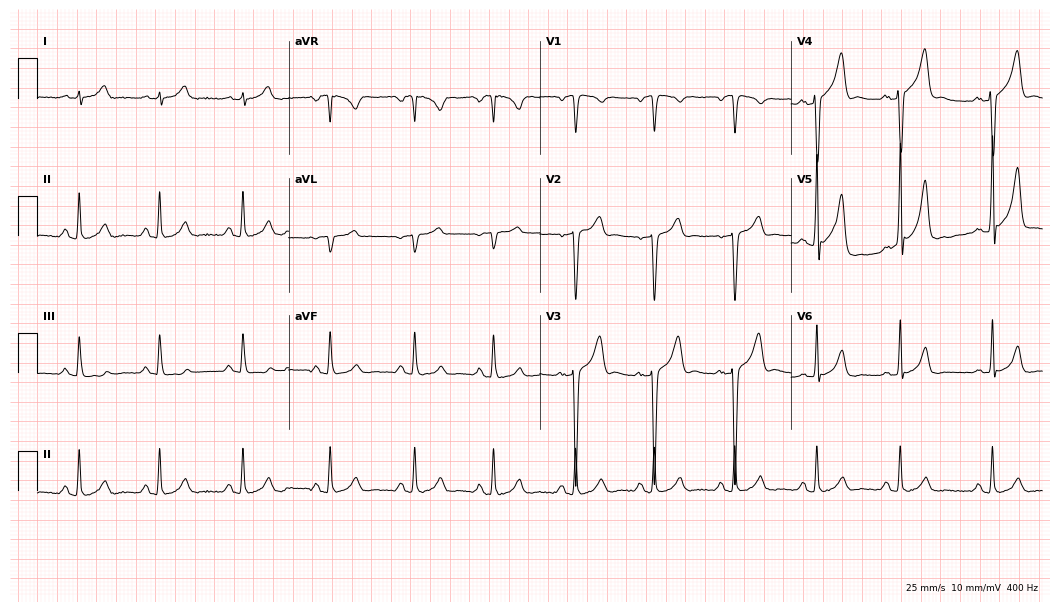
12-lead ECG from a 48-year-old male patient. Labelled as a normal ECG.